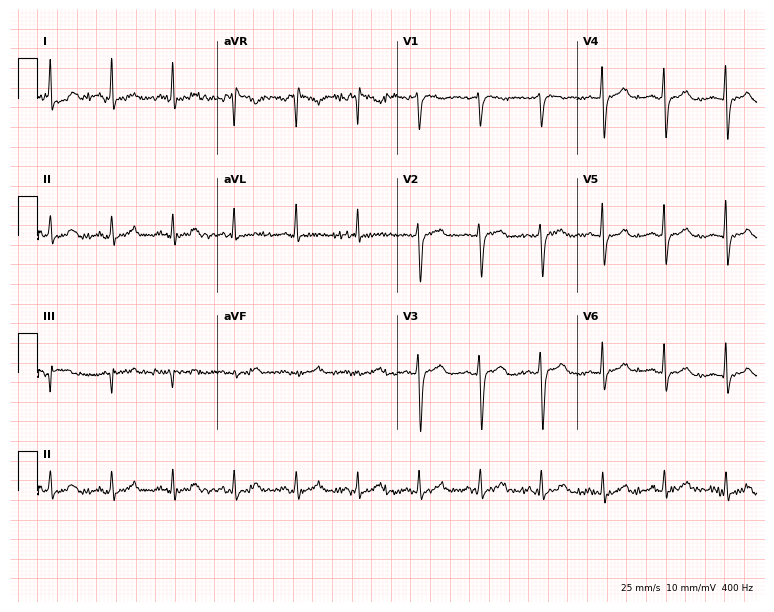
12-lead ECG from a female patient, 64 years old. Recorded interpretation: within normal limits.